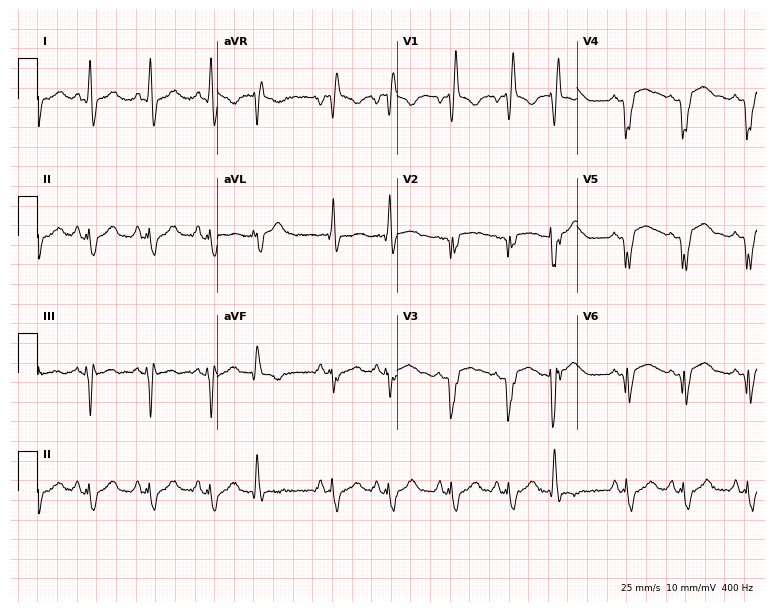
12-lead ECG from a woman, 54 years old (7.3-second recording at 400 Hz). Shows right bundle branch block (RBBB).